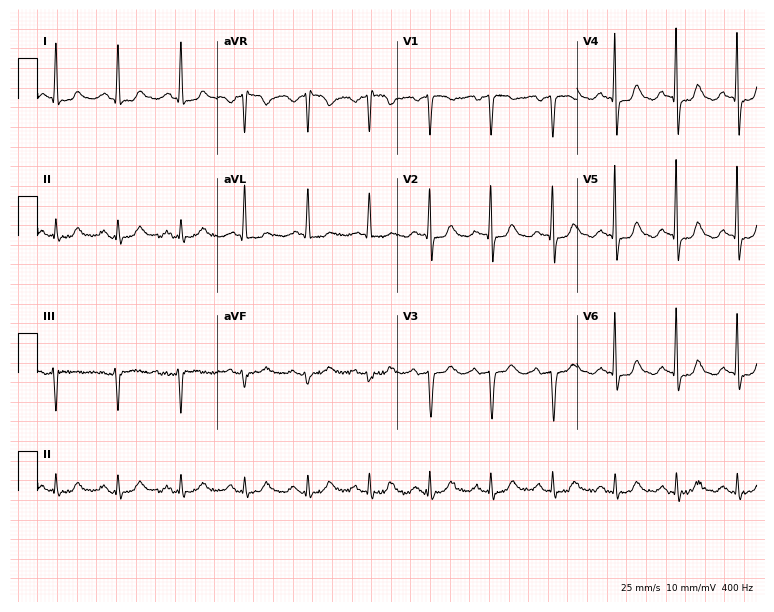
Standard 12-lead ECG recorded from a female, 80 years old (7.3-second recording at 400 Hz). Read as a normal ECG.